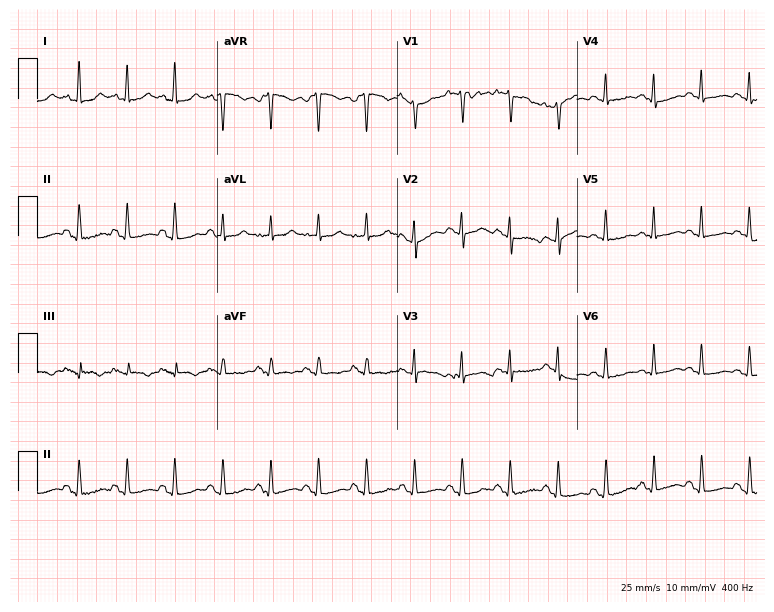
Electrocardiogram, a female patient, 50 years old. Interpretation includes sinus tachycardia (a sinus rate of 100 beats per minute or more).